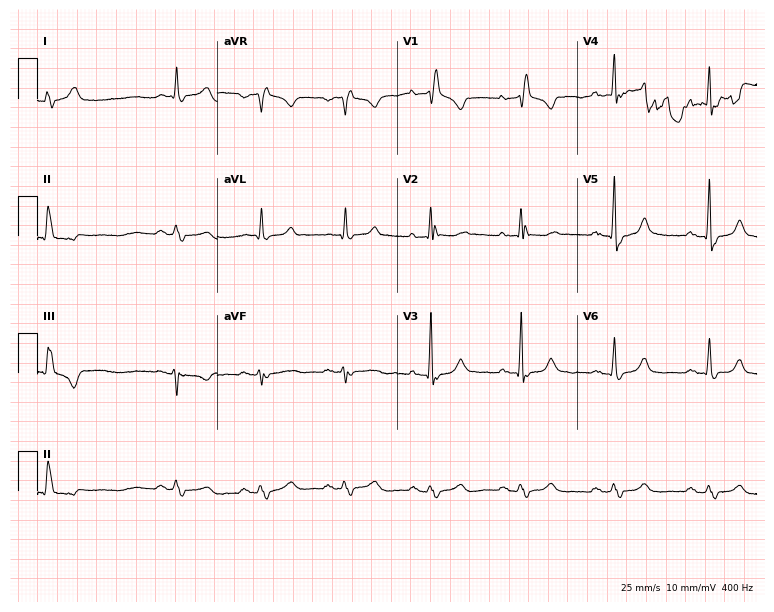
Electrocardiogram (7.3-second recording at 400 Hz), a 68-year-old male patient. Interpretation includes right bundle branch block.